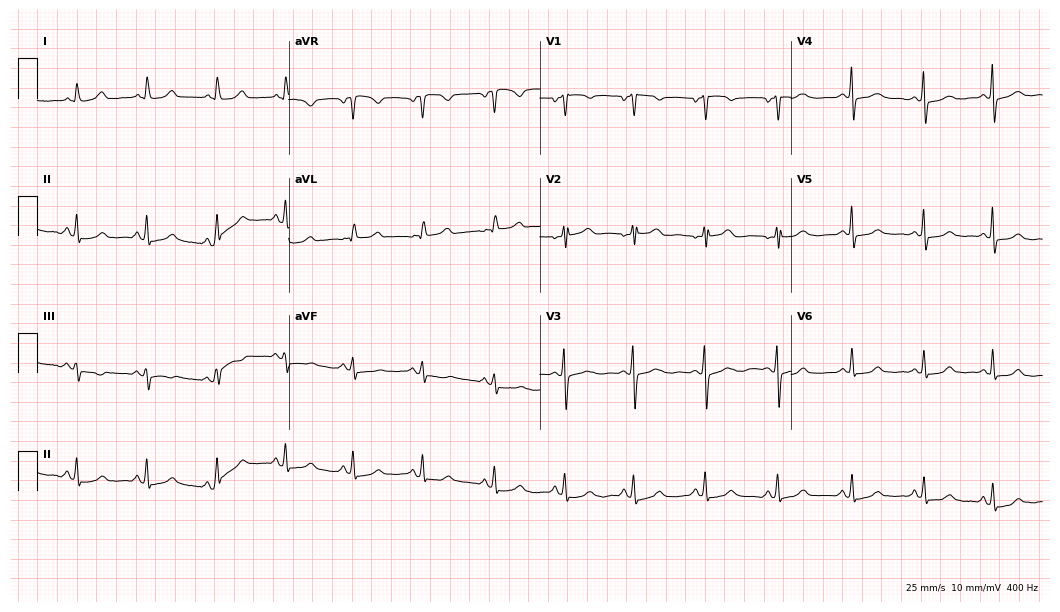
ECG (10.2-second recording at 400 Hz) — a female, 56 years old. Labelled as a normal ECG.